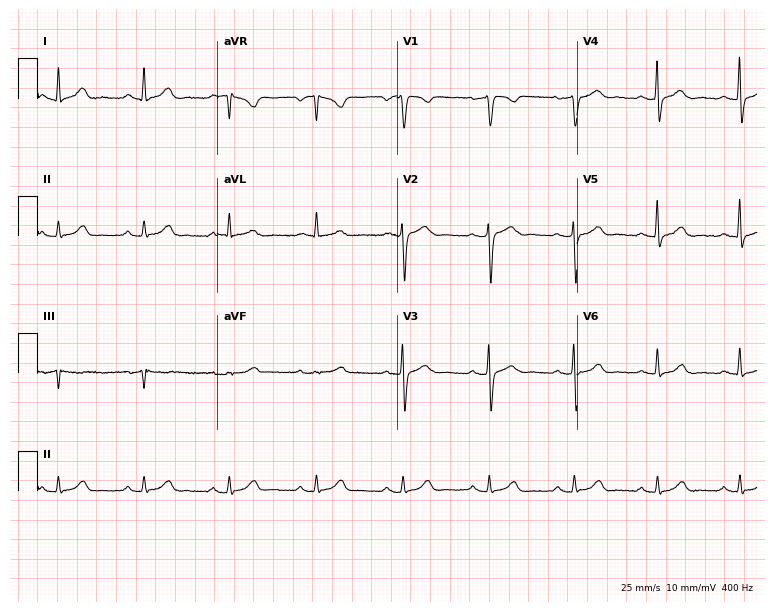
Electrocardiogram, a 44-year-old male patient. Overall reading on record: normal ECG.